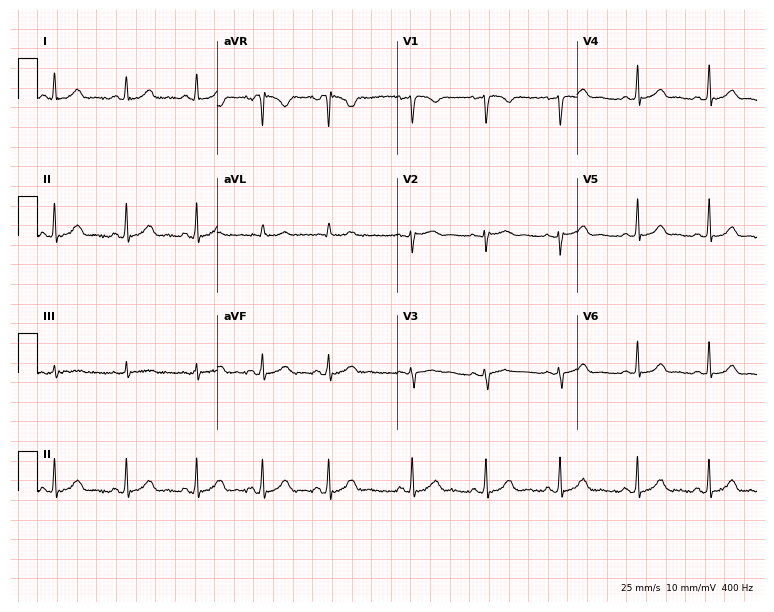
Resting 12-lead electrocardiogram. Patient: a female, 19 years old. Read as a normal ECG.